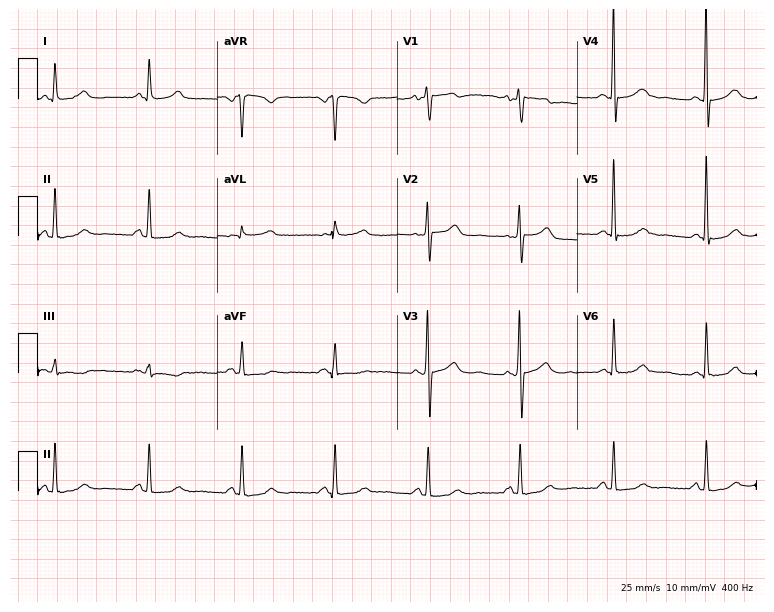
Resting 12-lead electrocardiogram (7.3-second recording at 400 Hz). Patient: a 72-year-old woman. None of these six findings is recorded: first-degree AV block, right bundle branch block (RBBB), left bundle branch block (LBBB), sinus bradycardia, atrial fibrillation (AF), sinus tachycardia. Other findings, if any, are not listed.